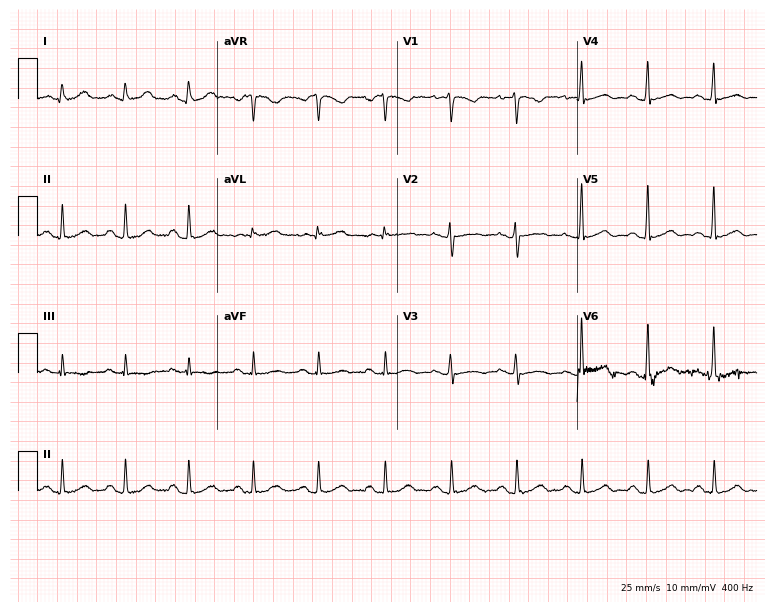
Standard 12-lead ECG recorded from a woman, 44 years old. Read as a normal ECG.